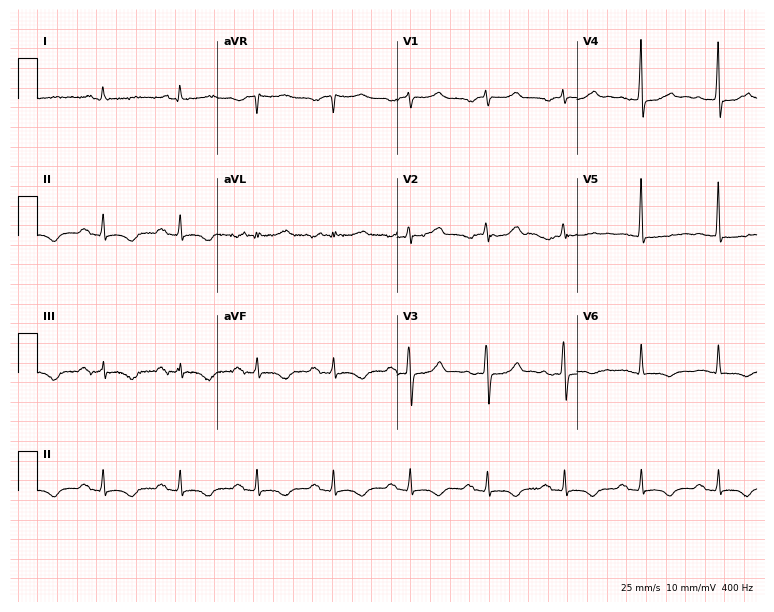
ECG — a female, 61 years old. Findings include first-degree AV block.